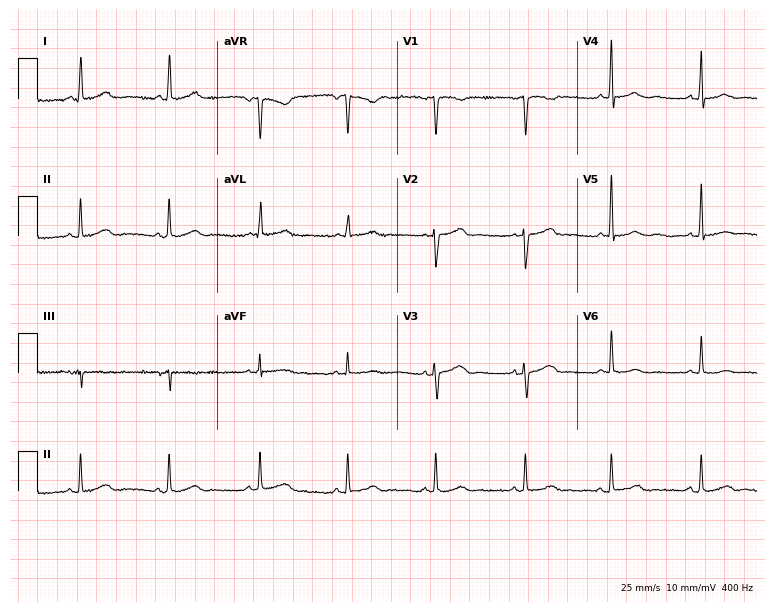
ECG — a female, 34 years old. Labelled as a normal ECG.